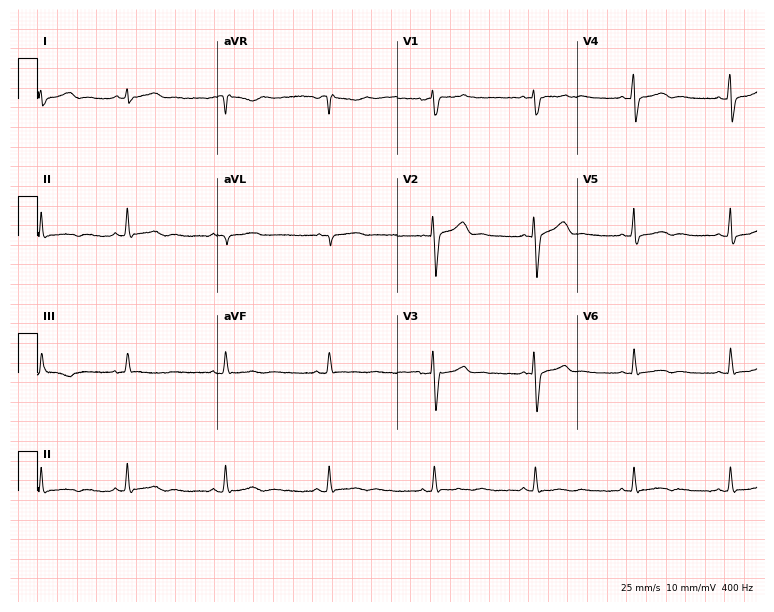
Resting 12-lead electrocardiogram (7.3-second recording at 400 Hz). Patient: a woman, 32 years old. None of these six findings is recorded: first-degree AV block, right bundle branch block, left bundle branch block, sinus bradycardia, atrial fibrillation, sinus tachycardia.